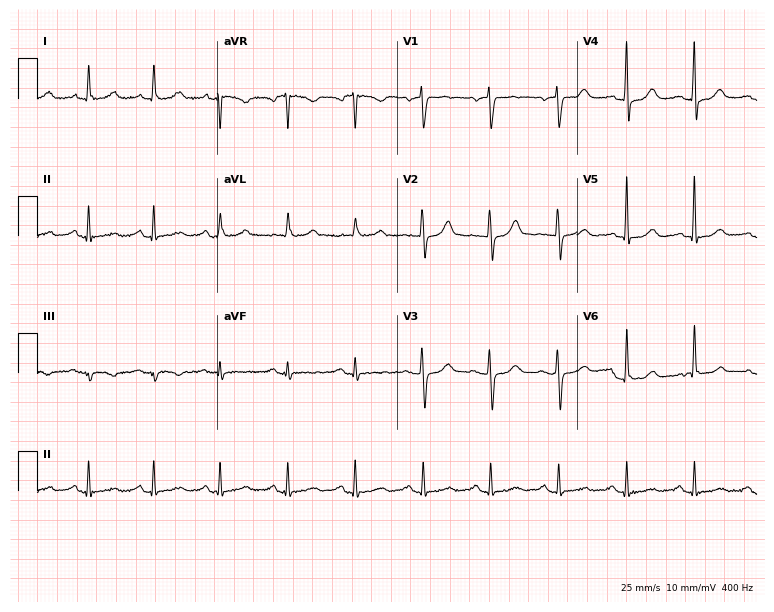
Resting 12-lead electrocardiogram (7.3-second recording at 400 Hz). Patient: a 75-year-old woman. Read as a normal ECG.